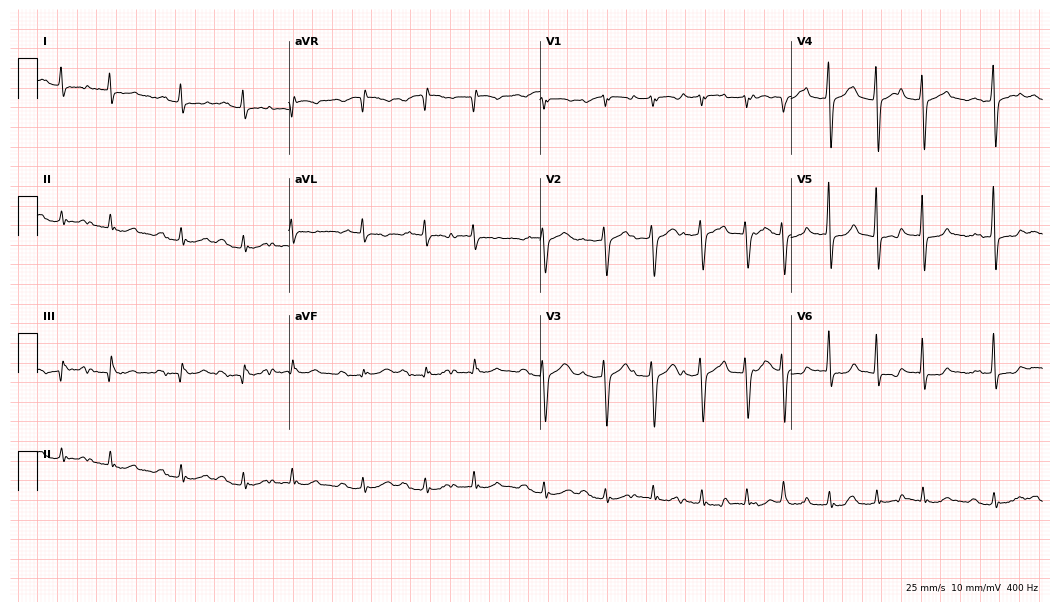
Resting 12-lead electrocardiogram (10.2-second recording at 400 Hz). Patient: a male, 73 years old. The tracing shows sinus tachycardia (a sinus rate of 100 beats per minute or more).